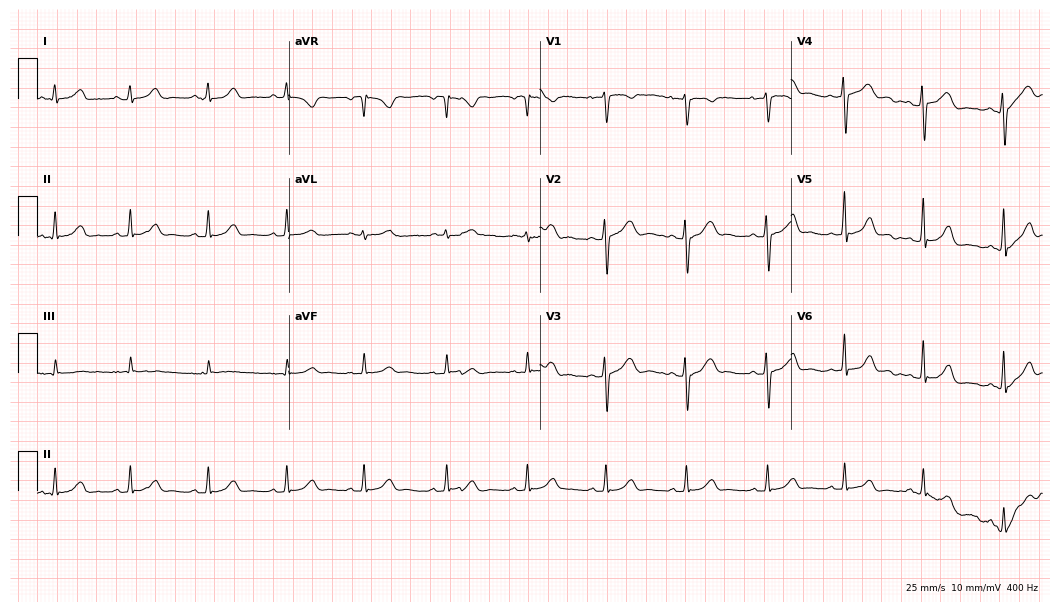
ECG — a female, 22 years old. Labelled as a normal ECG.